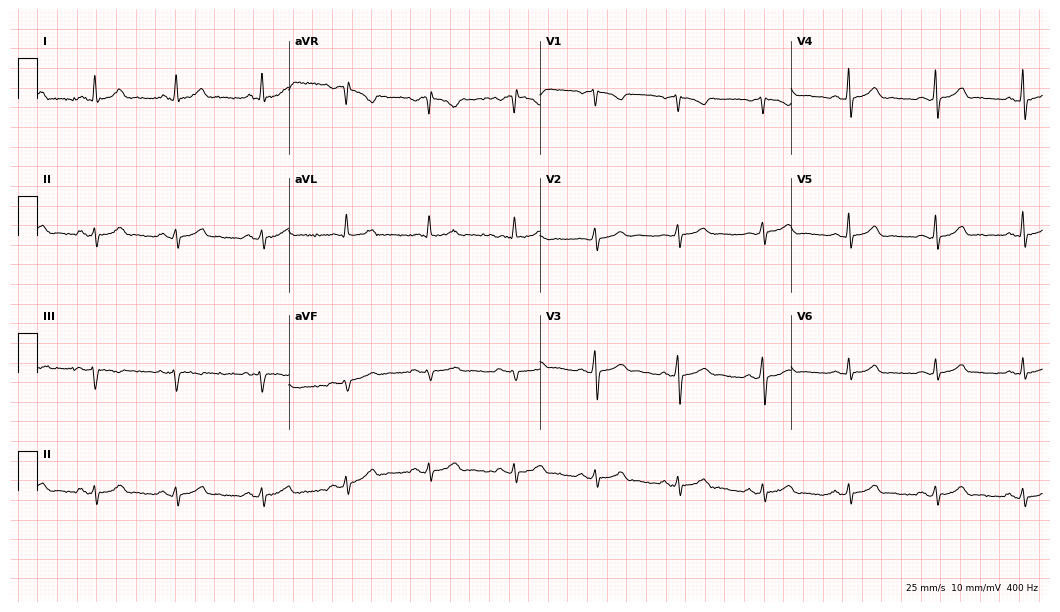
Resting 12-lead electrocardiogram (10.2-second recording at 400 Hz). Patient: a 52-year-old female. Read as a normal ECG.